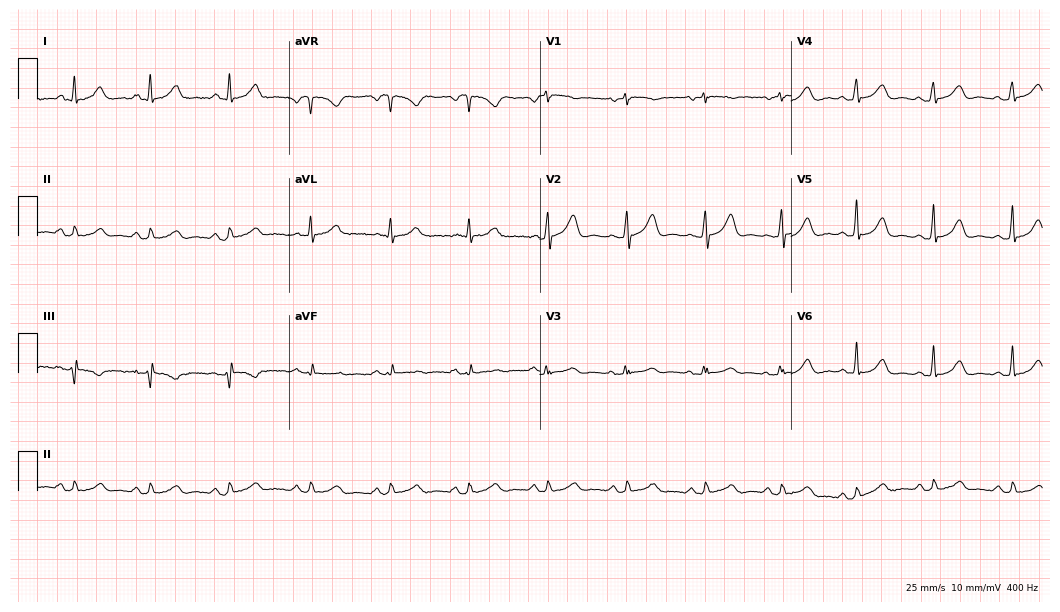
12-lead ECG from a 48-year-old female patient (10.2-second recording at 400 Hz). Recorded interpretation: within normal limits.